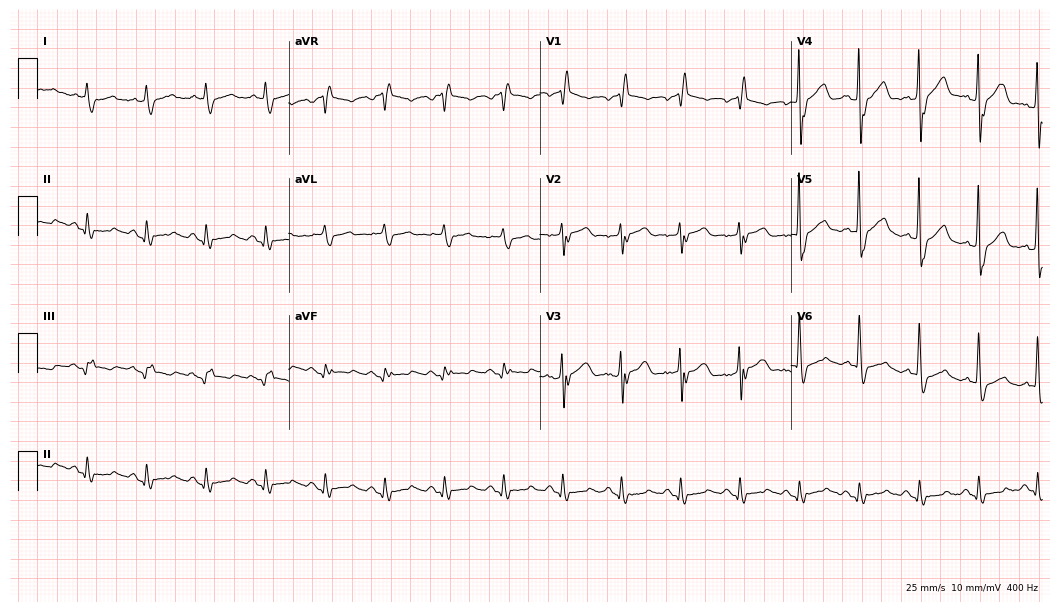
12-lead ECG from a man, 73 years old (10.2-second recording at 400 Hz). Shows right bundle branch block.